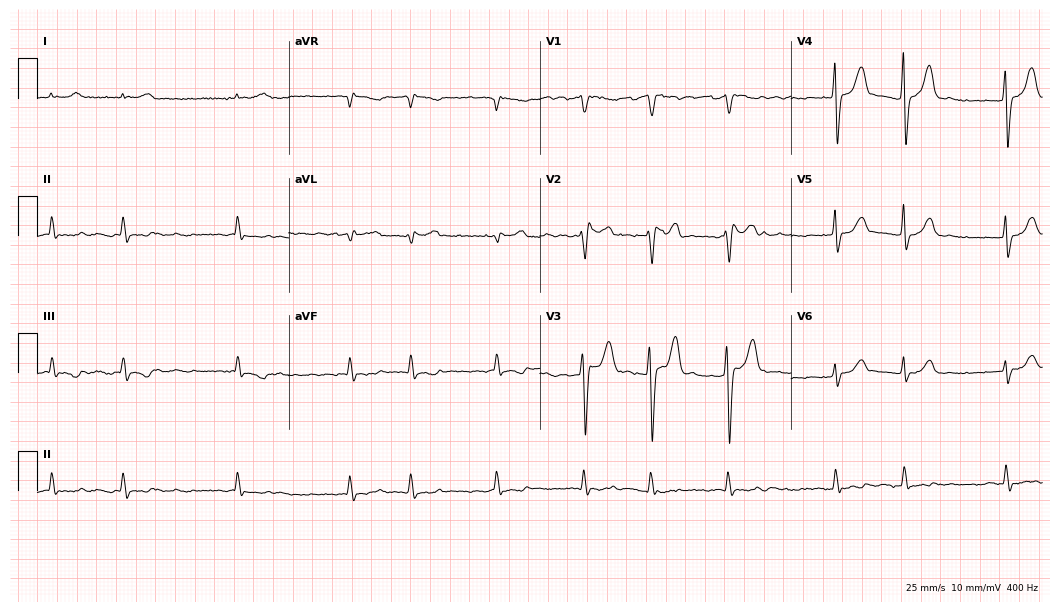
Standard 12-lead ECG recorded from a 76-year-old male. The tracing shows atrial fibrillation (AF).